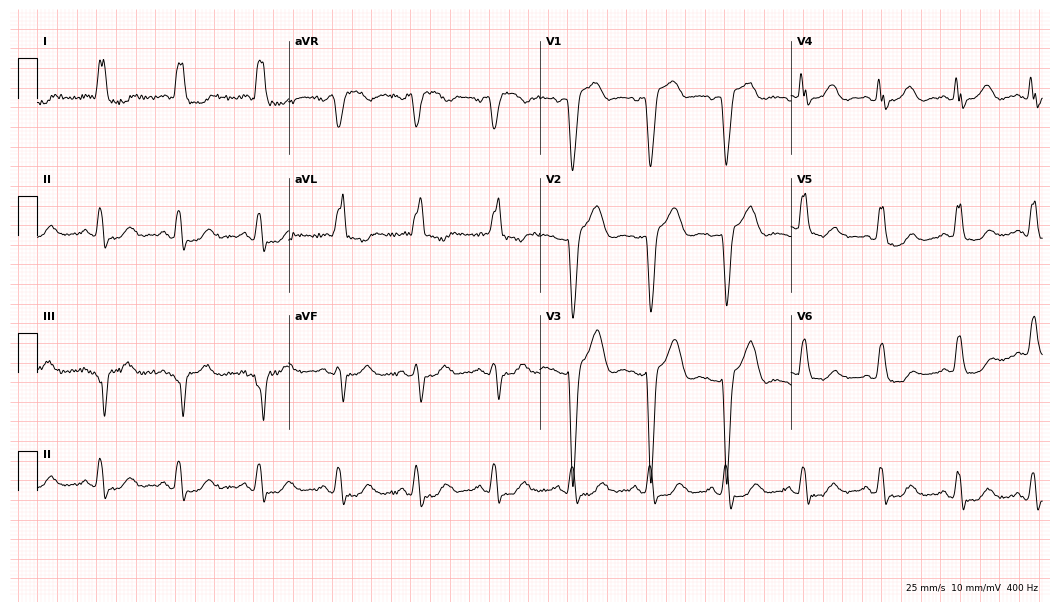
ECG — a female, 72 years old. Findings include left bundle branch block.